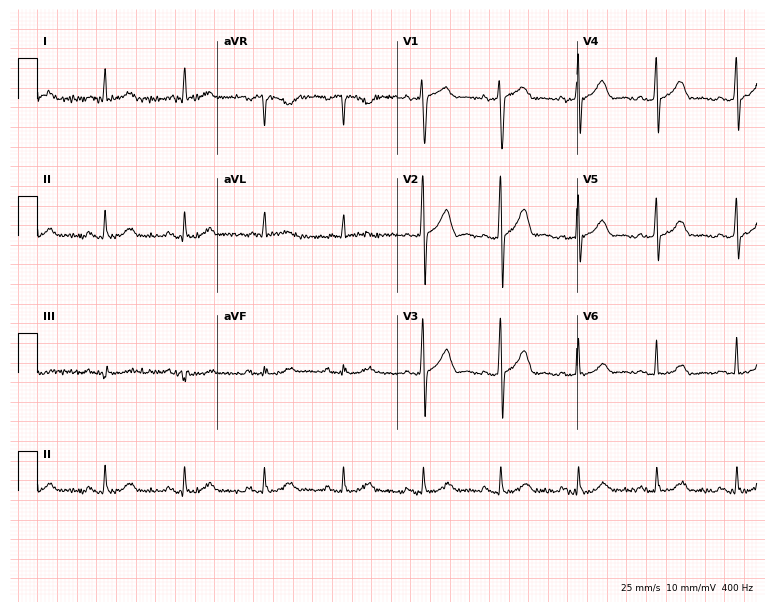
ECG (7.3-second recording at 400 Hz) — a 79-year-old male. Screened for six findings — first-degree AV block, right bundle branch block, left bundle branch block, sinus bradycardia, atrial fibrillation, sinus tachycardia — none is recorded. Findings outside these six are not listed.